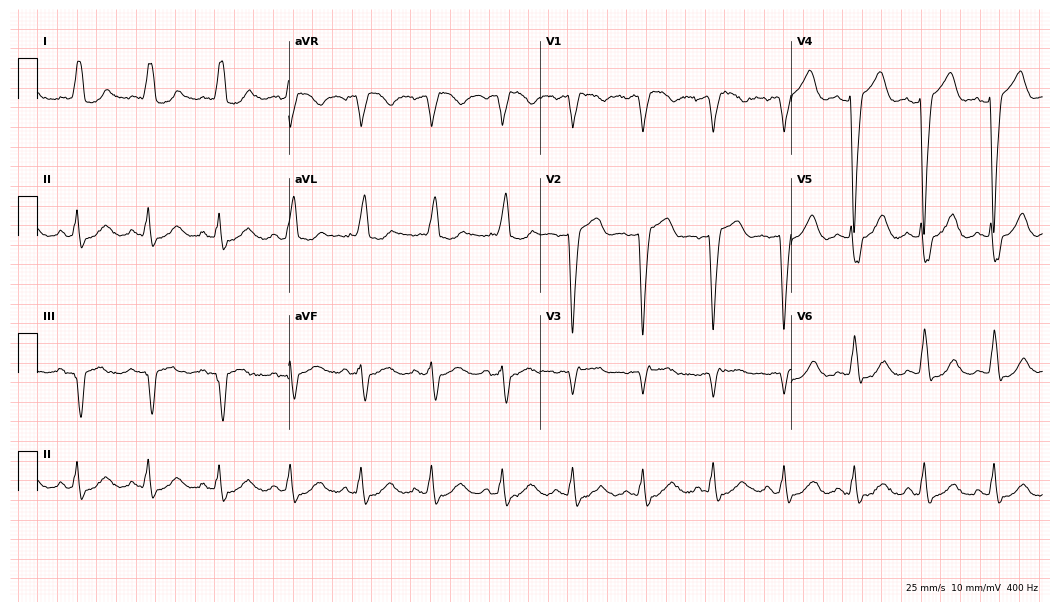
Electrocardiogram, a female, 32 years old. Interpretation includes left bundle branch block.